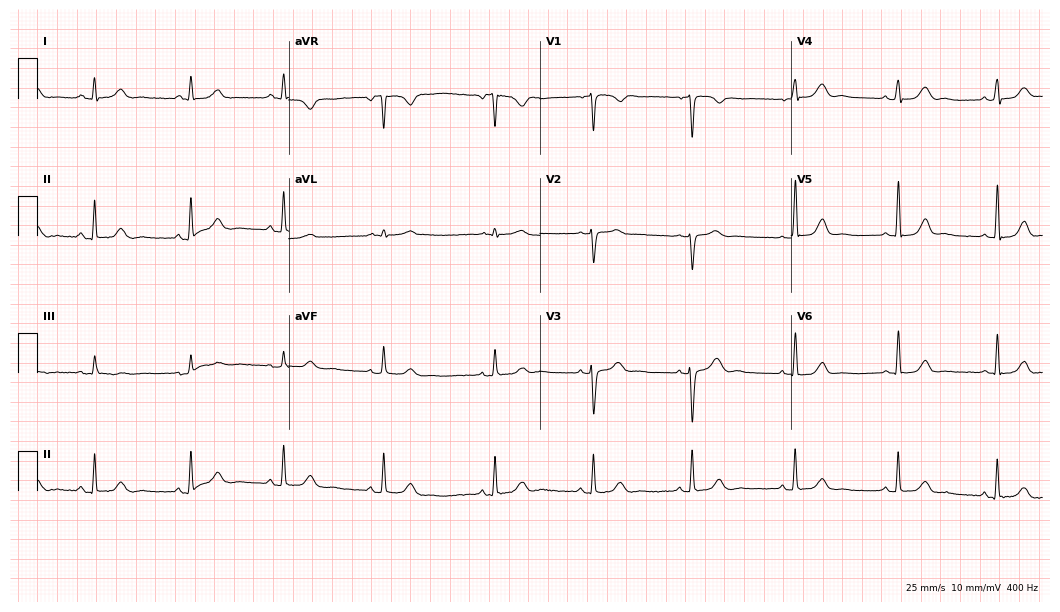
12-lead ECG (10.2-second recording at 400 Hz) from a female patient, 48 years old. Screened for six findings — first-degree AV block, right bundle branch block, left bundle branch block, sinus bradycardia, atrial fibrillation, sinus tachycardia — none is recorded. Only these six findings were labelled.